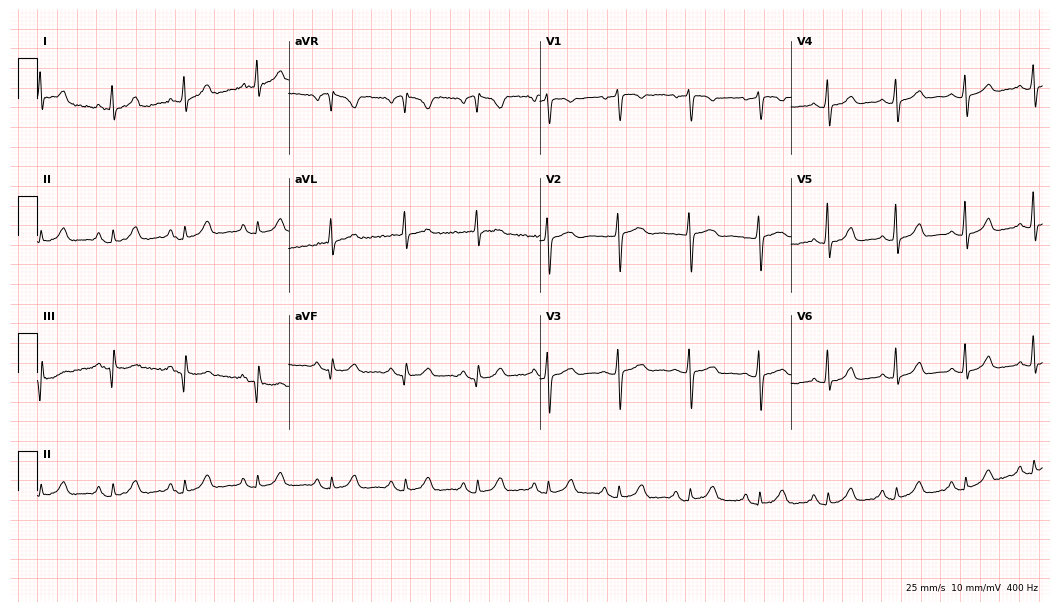
12-lead ECG from a female, 61 years old. Recorded interpretation: within normal limits.